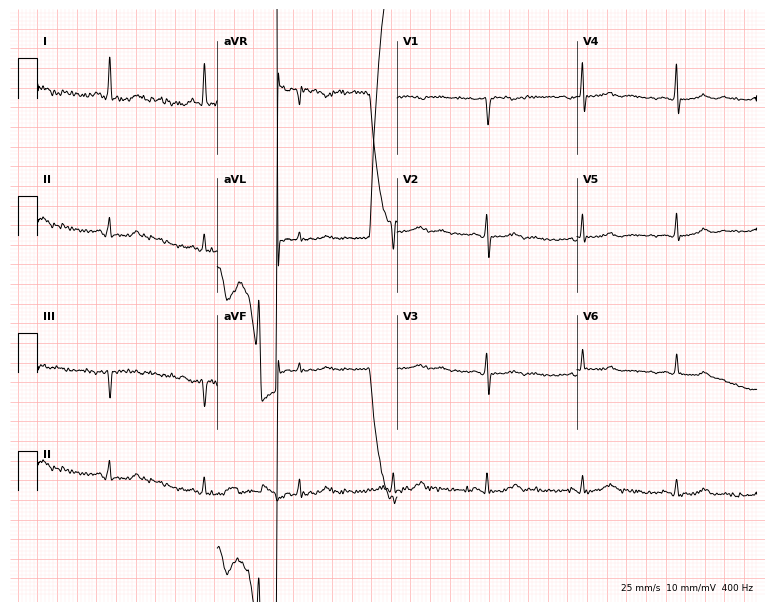
12-lead ECG (7.3-second recording at 400 Hz) from a female patient, 64 years old. Screened for six findings — first-degree AV block, right bundle branch block, left bundle branch block, sinus bradycardia, atrial fibrillation, sinus tachycardia — none is recorded. Findings outside these six are not listed.